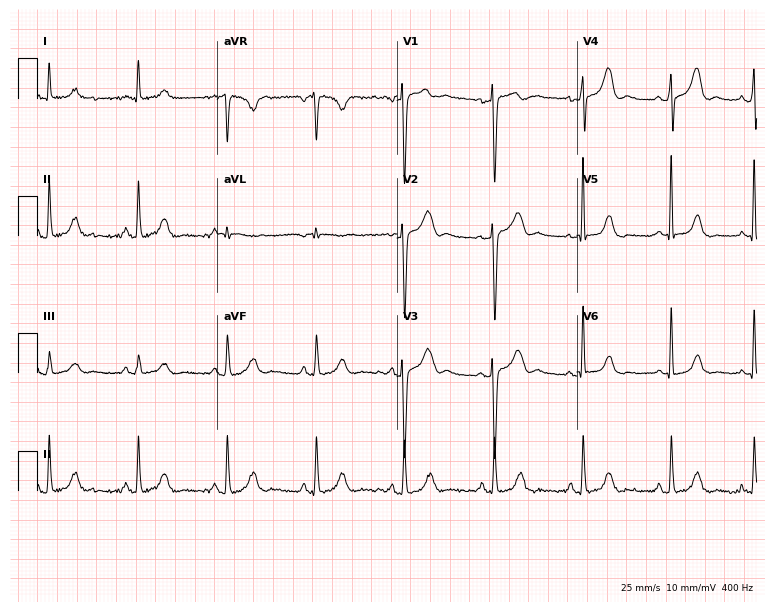
Standard 12-lead ECG recorded from a 62-year-old female patient. None of these six findings is recorded: first-degree AV block, right bundle branch block, left bundle branch block, sinus bradycardia, atrial fibrillation, sinus tachycardia. Only these six findings were labelled.